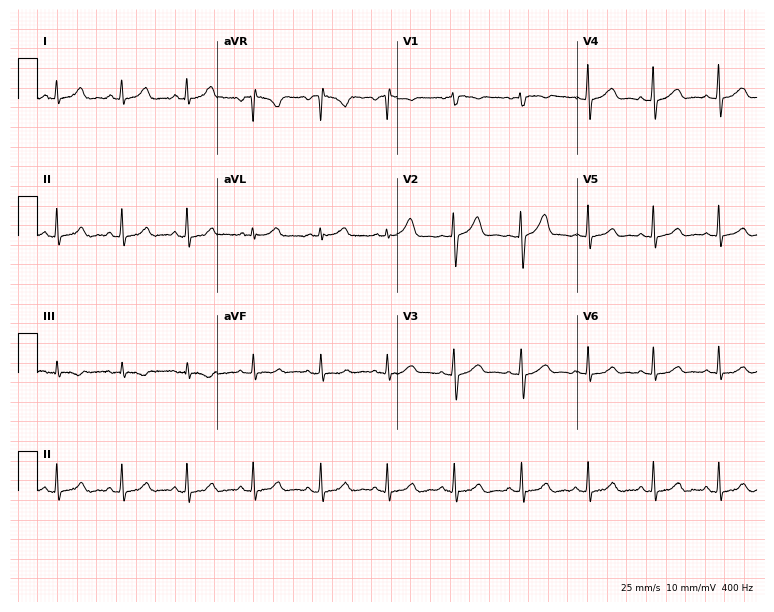
Electrocardiogram, a female, 32 years old. Of the six screened findings (first-degree AV block, right bundle branch block, left bundle branch block, sinus bradycardia, atrial fibrillation, sinus tachycardia), none is recorded.